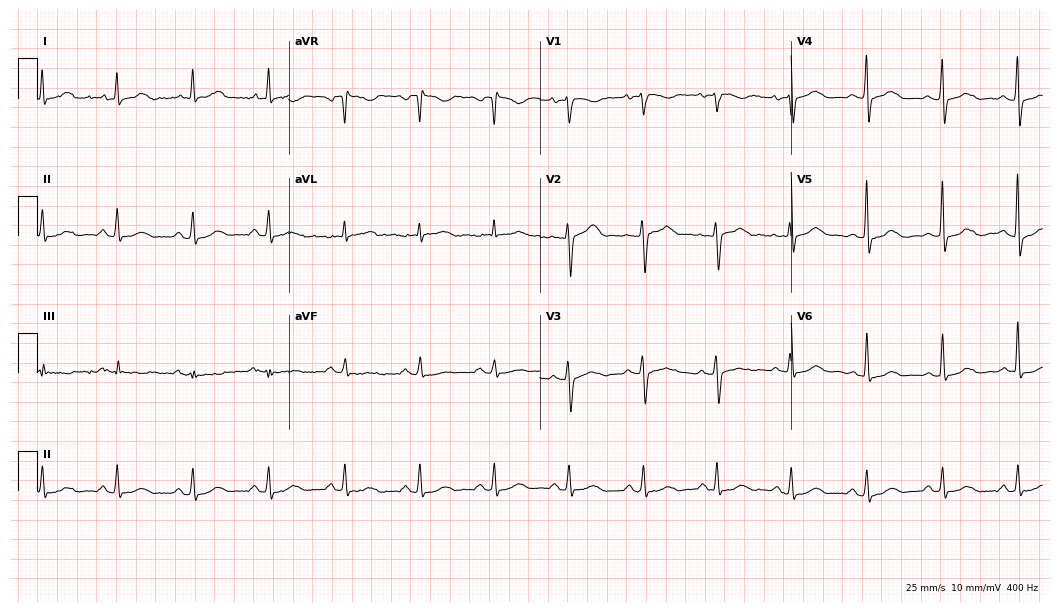
Electrocardiogram, a 58-year-old female patient. Overall reading on record: normal ECG.